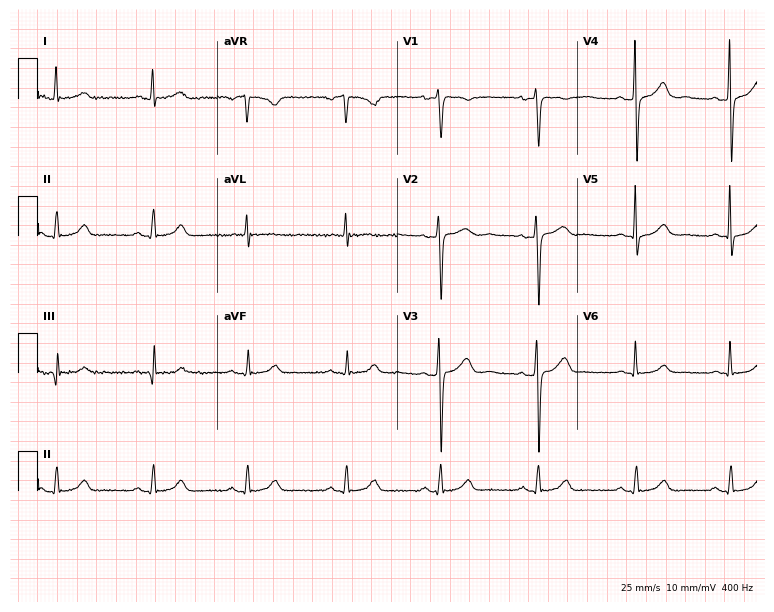
Standard 12-lead ECG recorded from a 50-year-old female (7.3-second recording at 400 Hz). None of these six findings is recorded: first-degree AV block, right bundle branch block, left bundle branch block, sinus bradycardia, atrial fibrillation, sinus tachycardia.